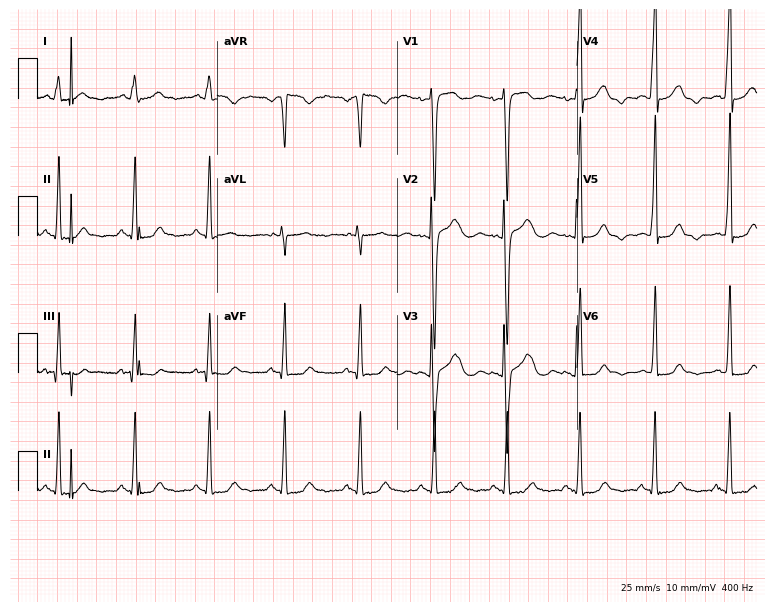
Standard 12-lead ECG recorded from a 37-year-old woman. None of these six findings is recorded: first-degree AV block, right bundle branch block, left bundle branch block, sinus bradycardia, atrial fibrillation, sinus tachycardia.